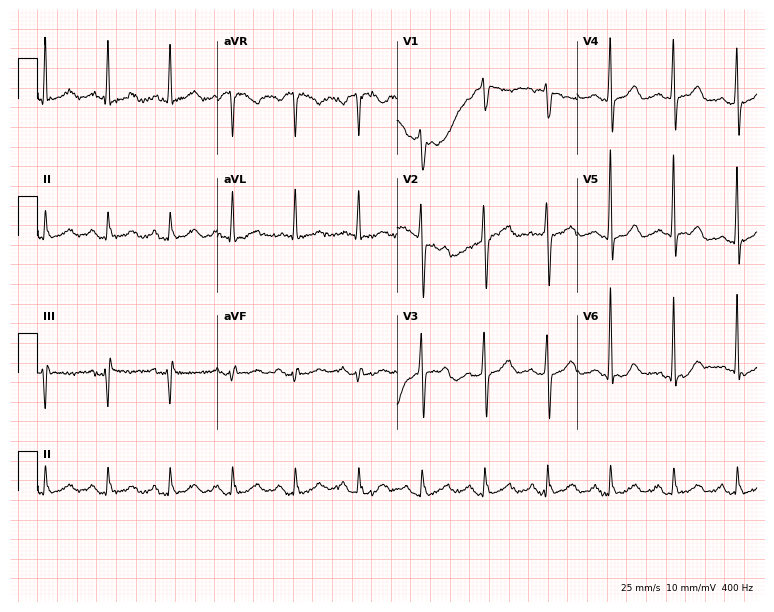
Resting 12-lead electrocardiogram (7.3-second recording at 400 Hz). Patient: a 76-year-old male. None of these six findings is recorded: first-degree AV block, right bundle branch block (RBBB), left bundle branch block (LBBB), sinus bradycardia, atrial fibrillation (AF), sinus tachycardia.